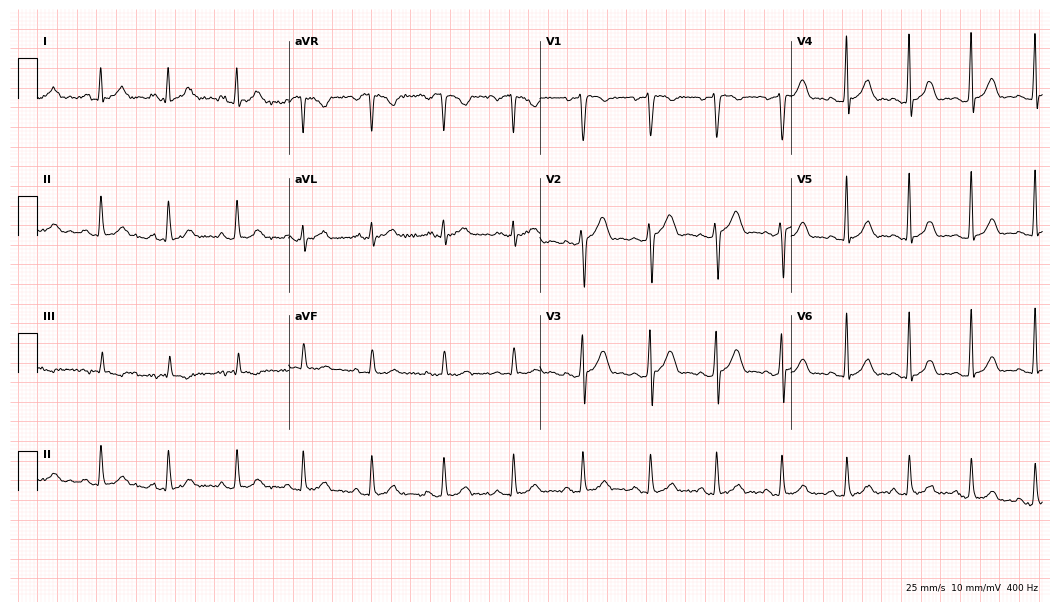
Resting 12-lead electrocardiogram (10.2-second recording at 400 Hz). Patient: a male, 31 years old. Read as a normal ECG.